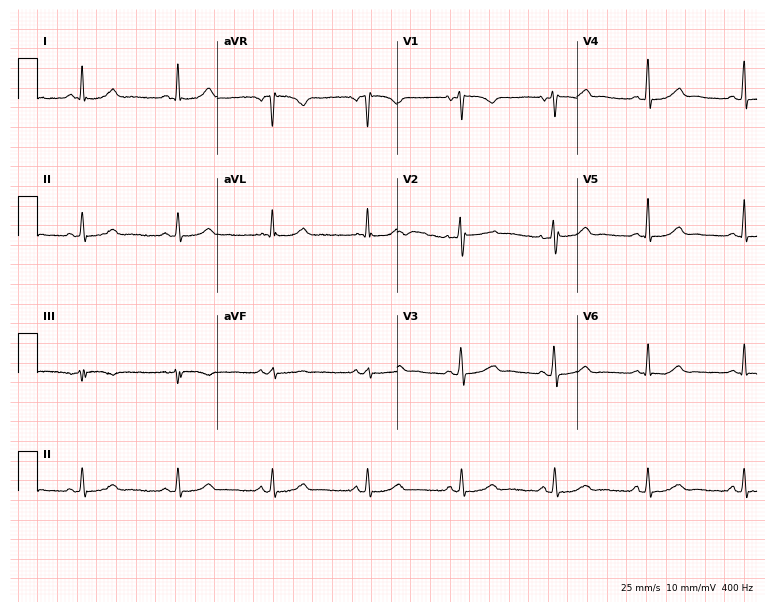
Resting 12-lead electrocardiogram (7.3-second recording at 400 Hz). Patient: a woman, 52 years old. None of these six findings is recorded: first-degree AV block, right bundle branch block, left bundle branch block, sinus bradycardia, atrial fibrillation, sinus tachycardia.